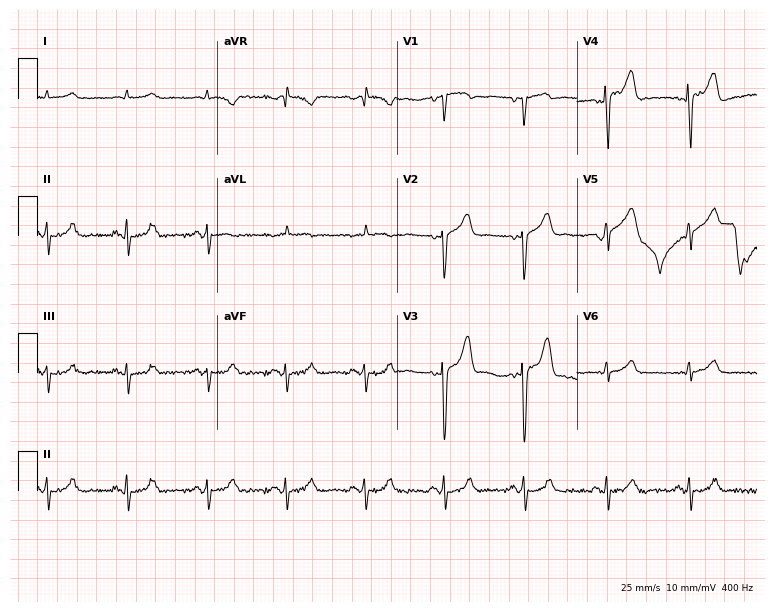
Standard 12-lead ECG recorded from a 75-year-old man. Read as a normal ECG.